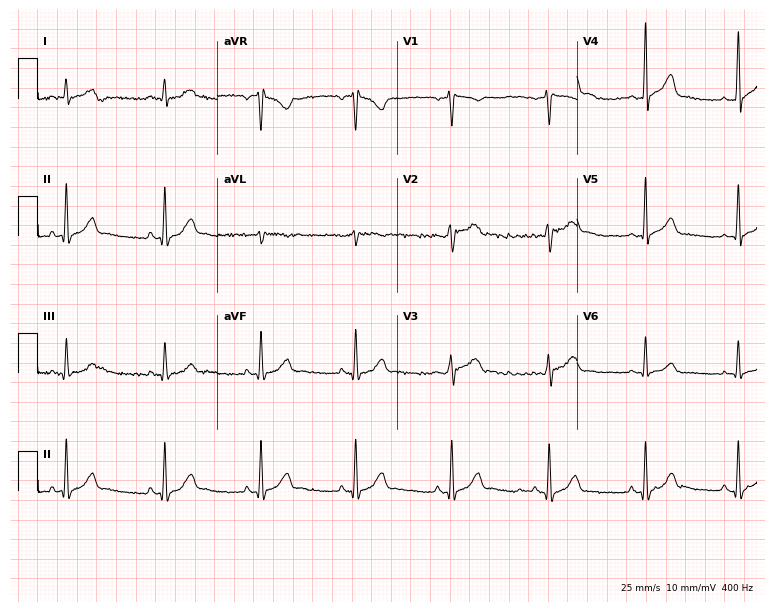
12-lead ECG from a 36-year-old man (7.3-second recording at 400 Hz). No first-degree AV block, right bundle branch block (RBBB), left bundle branch block (LBBB), sinus bradycardia, atrial fibrillation (AF) or sinus tachycardia recorded for this tracing. Other findings, if any, are not listed.